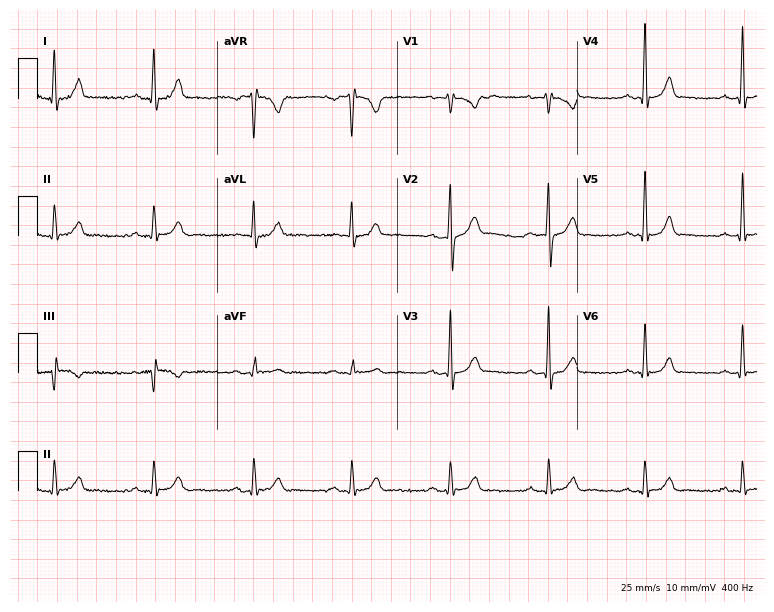
12-lead ECG from a 40-year-old man. Screened for six findings — first-degree AV block, right bundle branch block, left bundle branch block, sinus bradycardia, atrial fibrillation, sinus tachycardia — none is recorded. Other findings, if any, are not listed.